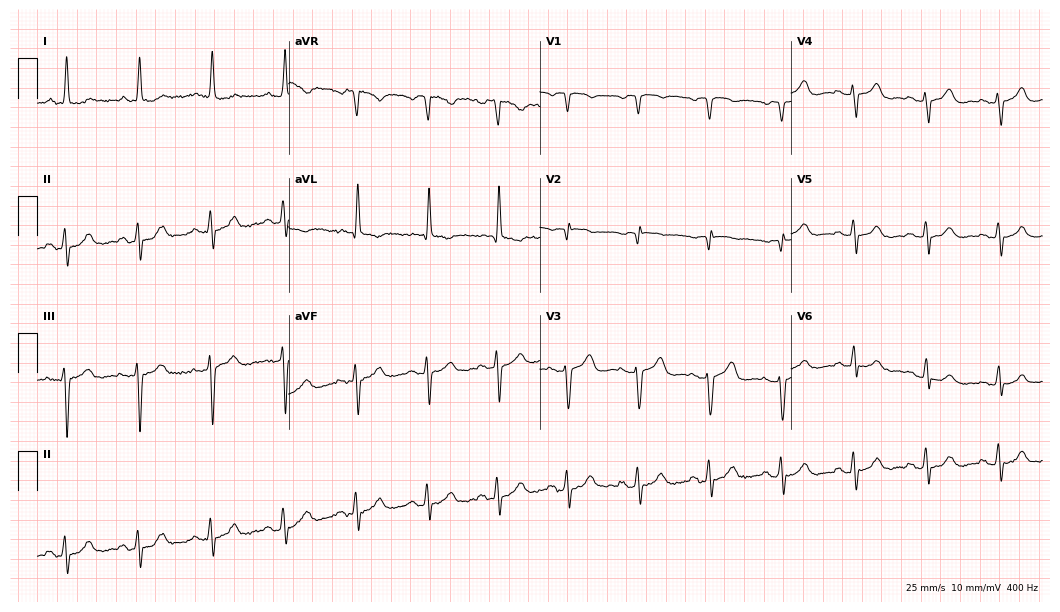
Electrocardiogram, a 70-year-old female patient. Of the six screened findings (first-degree AV block, right bundle branch block (RBBB), left bundle branch block (LBBB), sinus bradycardia, atrial fibrillation (AF), sinus tachycardia), none is recorded. Other findings, if any, are not listed.